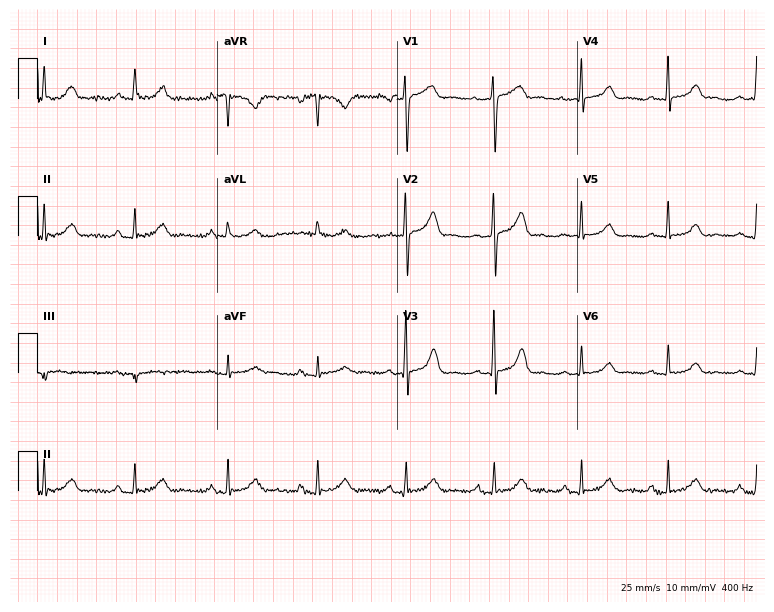
12-lead ECG from a female, 70 years old (7.3-second recording at 400 Hz). Recorded interpretation: within normal limits.